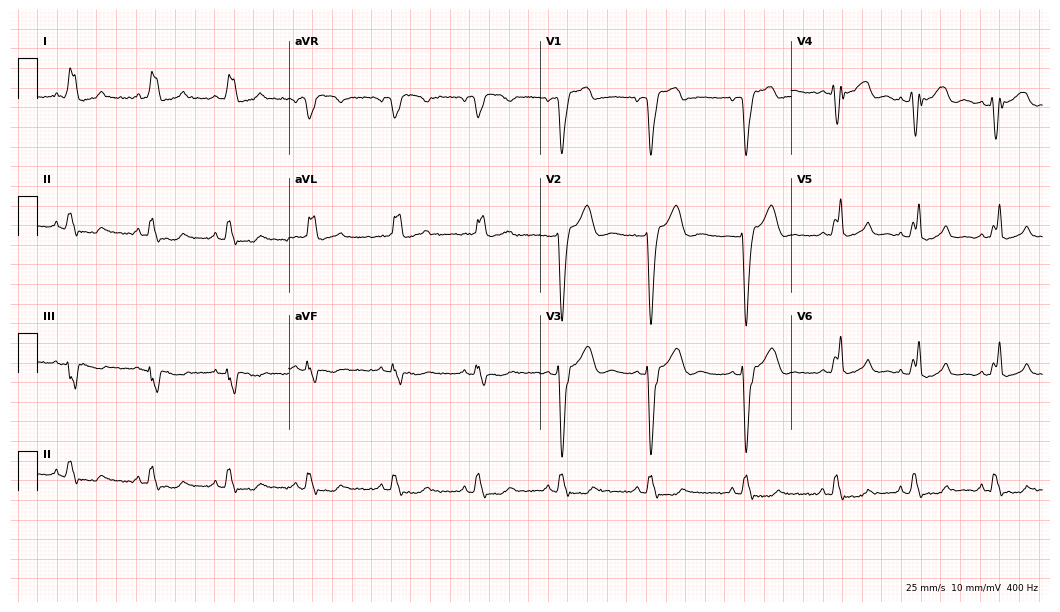
Standard 12-lead ECG recorded from a 36-year-old female. The tracing shows left bundle branch block (LBBB).